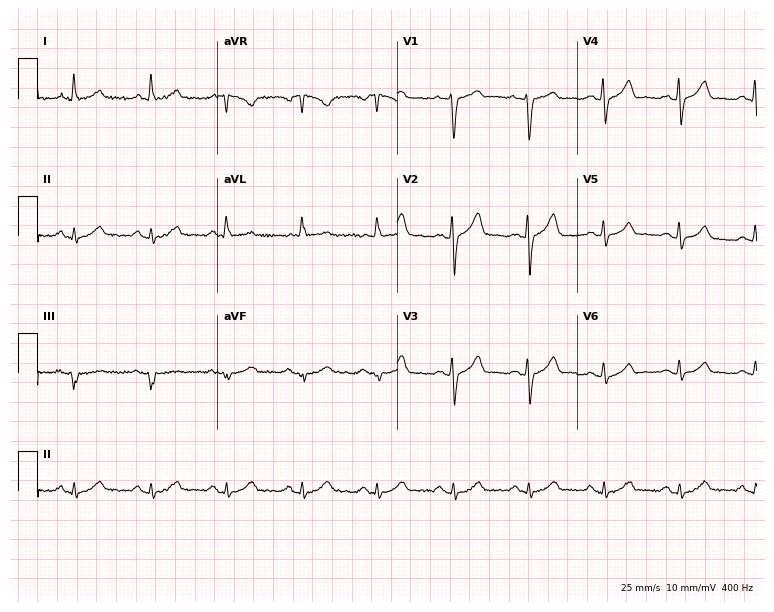
Electrocardiogram (7.3-second recording at 400 Hz), a male patient, 72 years old. Overall reading on record: normal ECG.